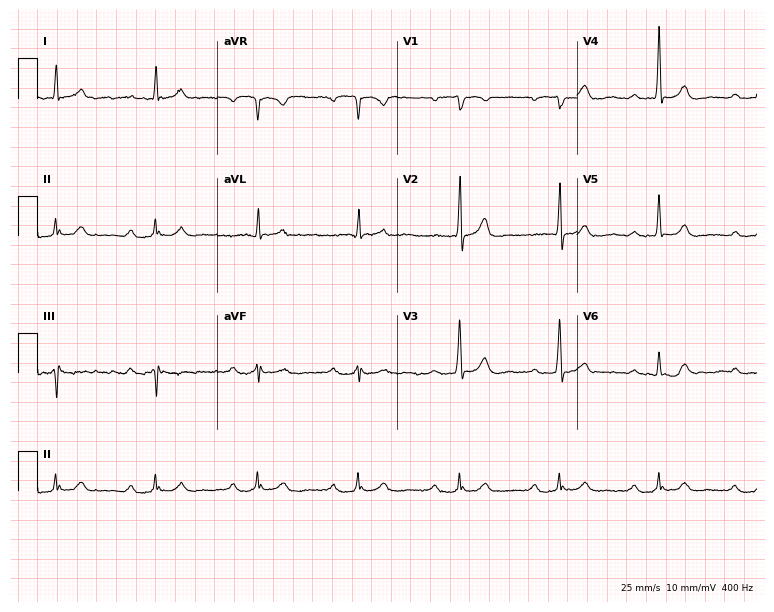
Resting 12-lead electrocardiogram (7.3-second recording at 400 Hz). Patient: an 83-year-old male. The tracing shows first-degree AV block.